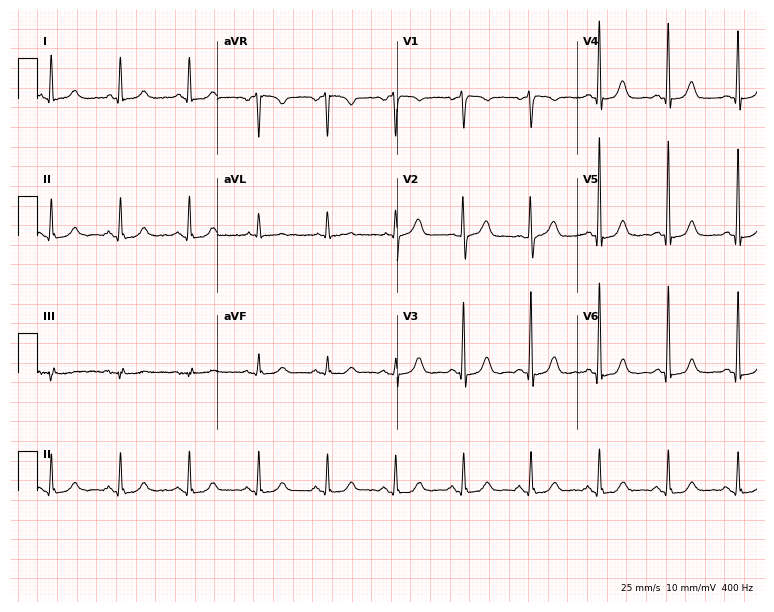
12-lead ECG from a 64-year-old woman (7.3-second recording at 400 Hz). Recorded interpretation: within normal limits.